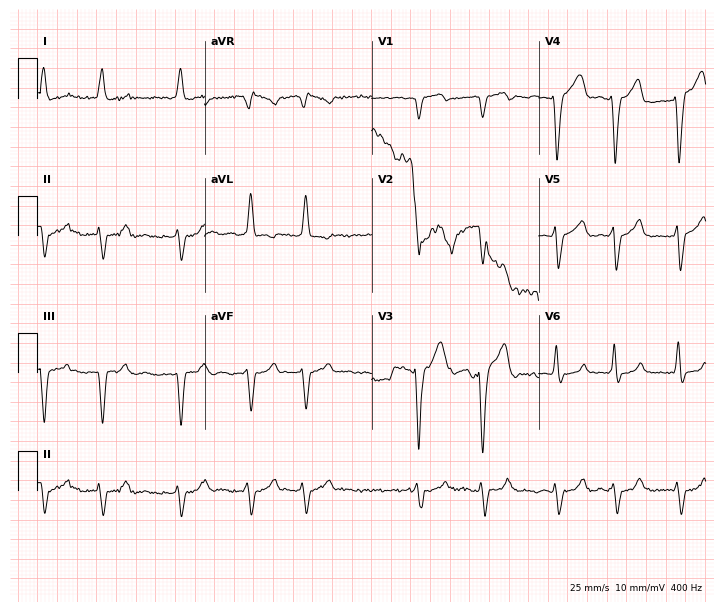
12-lead ECG from a male, 83 years old (6.8-second recording at 400 Hz). Shows left bundle branch block, atrial fibrillation.